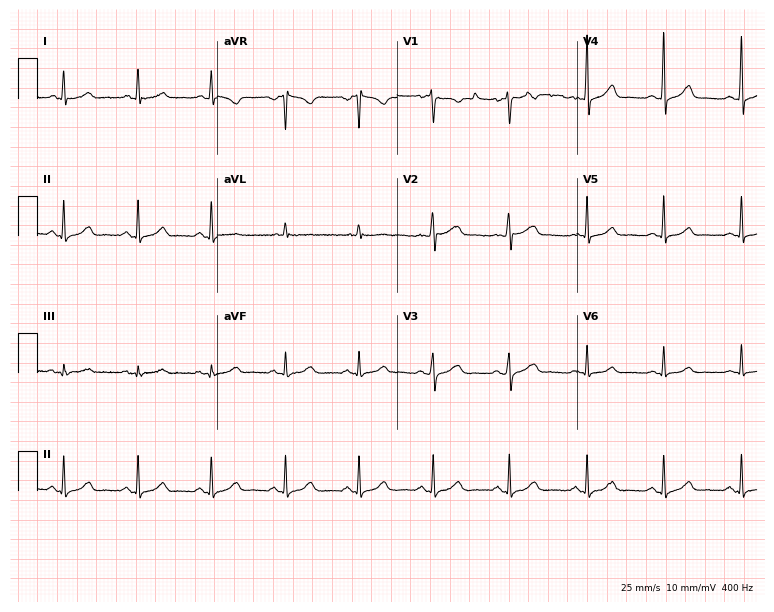
12-lead ECG (7.3-second recording at 400 Hz) from a 45-year-old female patient. Labelled as a normal ECG.